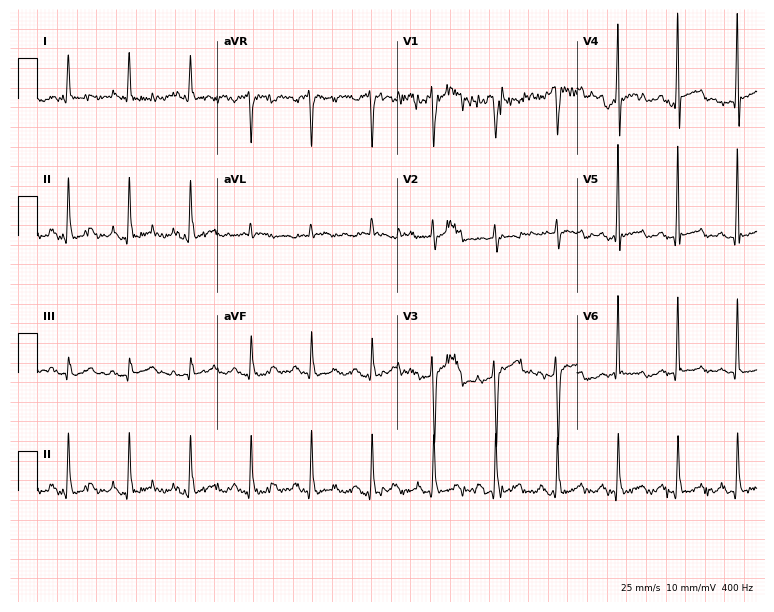
Electrocardiogram (7.3-second recording at 400 Hz), a male, 75 years old. Of the six screened findings (first-degree AV block, right bundle branch block, left bundle branch block, sinus bradycardia, atrial fibrillation, sinus tachycardia), none is recorded.